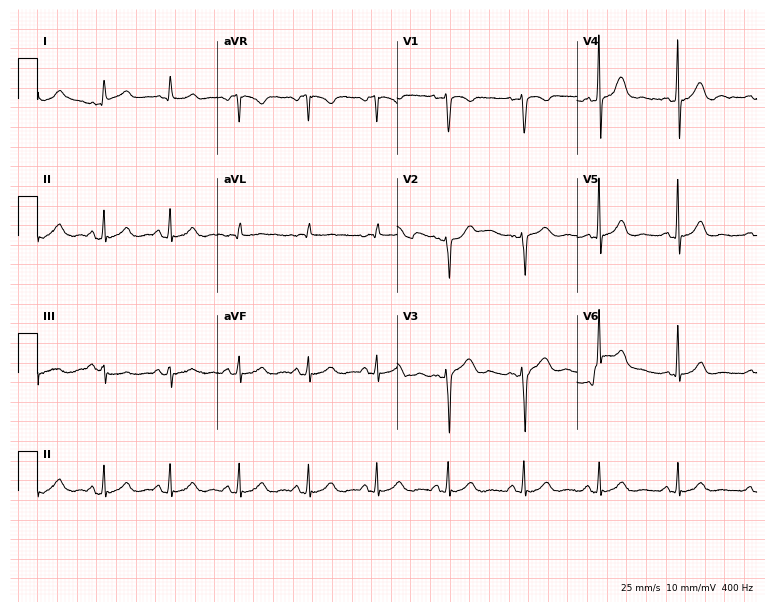
ECG (7.3-second recording at 400 Hz) — a 20-year-old female patient. Screened for six findings — first-degree AV block, right bundle branch block (RBBB), left bundle branch block (LBBB), sinus bradycardia, atrial fibrillation (AF), sinus tachycardia — none is recorded.